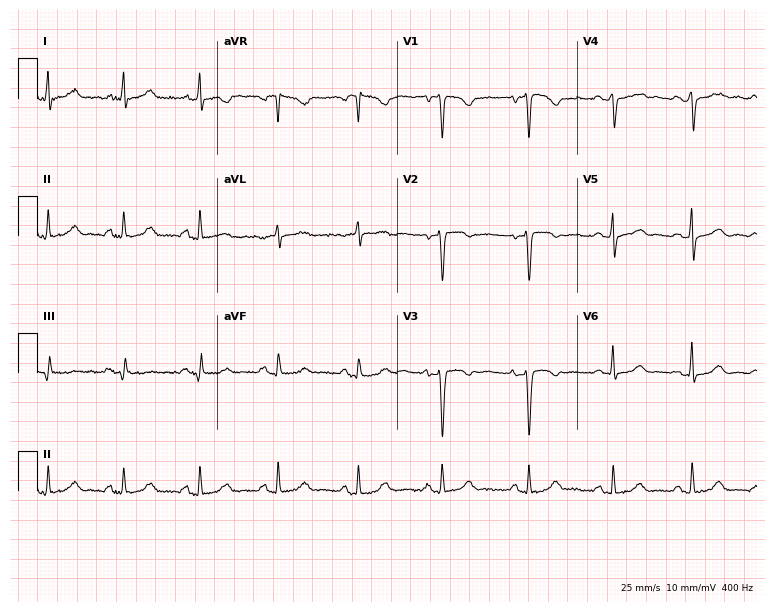
Electrocardiogram (7.3-second recording at 400 Hz), a 47-year-old woman. Of the six screened findings (first-degree AV block, right bundle branch block, left bundle branch block, sinus bradycardia, atrial fibrillation, sinus tachycardia), none is recorded. Other findings, if any, are not listed.